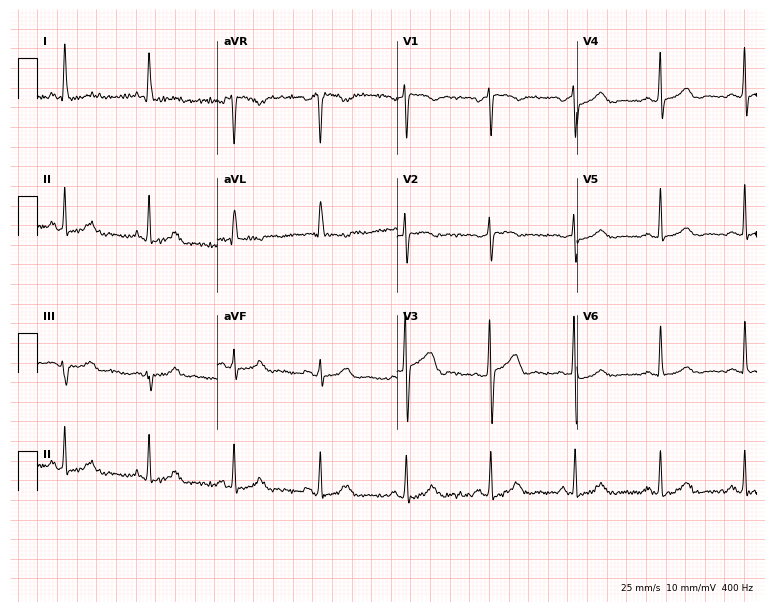
Resting 12-lead electrocardiogram. Patient: a woman, 47 years old. None of these six findings is recorded: first-degree AV block, right bundle branch block, left bundle branch block, sinus bradycardia, atrial fibrillation, sinus tachycardia. Only these six findings were labelled.